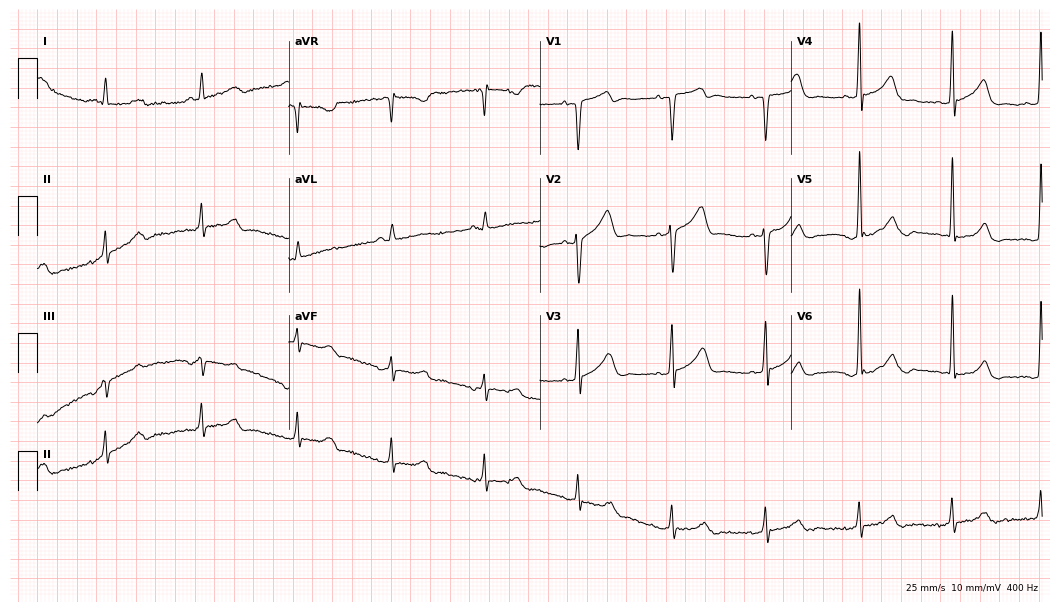
ECG (10.2-second recording at 400 Hz) — a 44-year-old man. Labelled as a normal ECG.